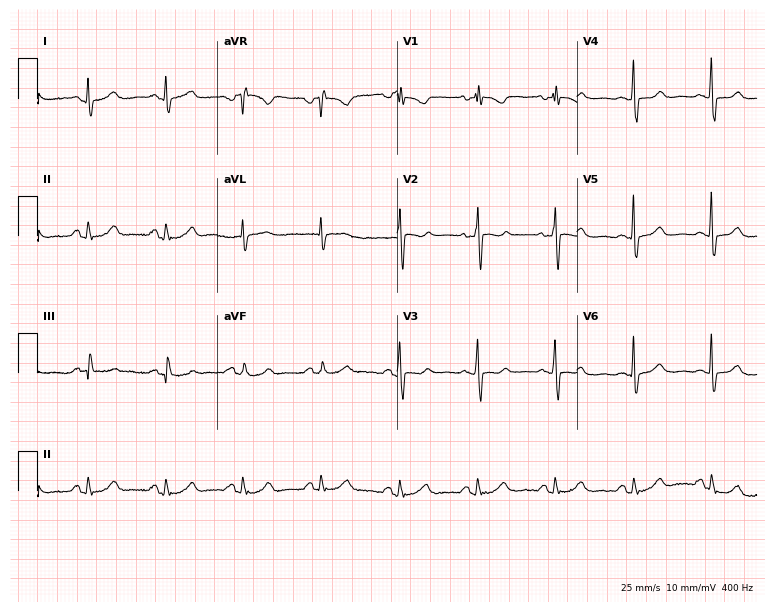
Electrocardiogram (7.3-second recording at 400 Hz), a woman, 68 years old. Of the six screened findings (first-degree AV block, right bundle branch block, left bundle branch block, sinus bradycardia, atrial fibrillation, sinus tachycardia), none is recorded. Other findings, if any, are not listed.